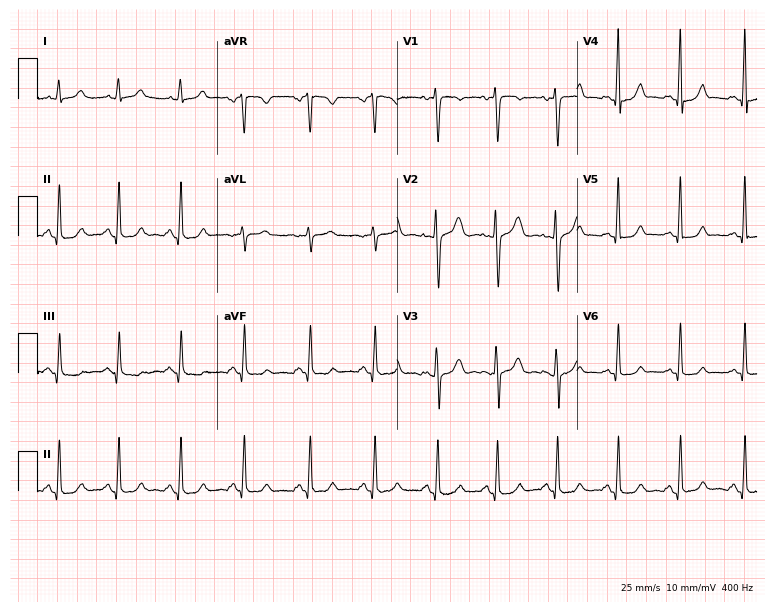
Standard 12-lead ECG recorded from a female, 33 years old. None of these six findings is recorded: first-degree AV block, right bundle branch block (RBBB), left bundle branch block (LBBB), sinus bradycardia, atrial fibrillation (AF), sinus tachycardia. Other findings, if any, are not listed.